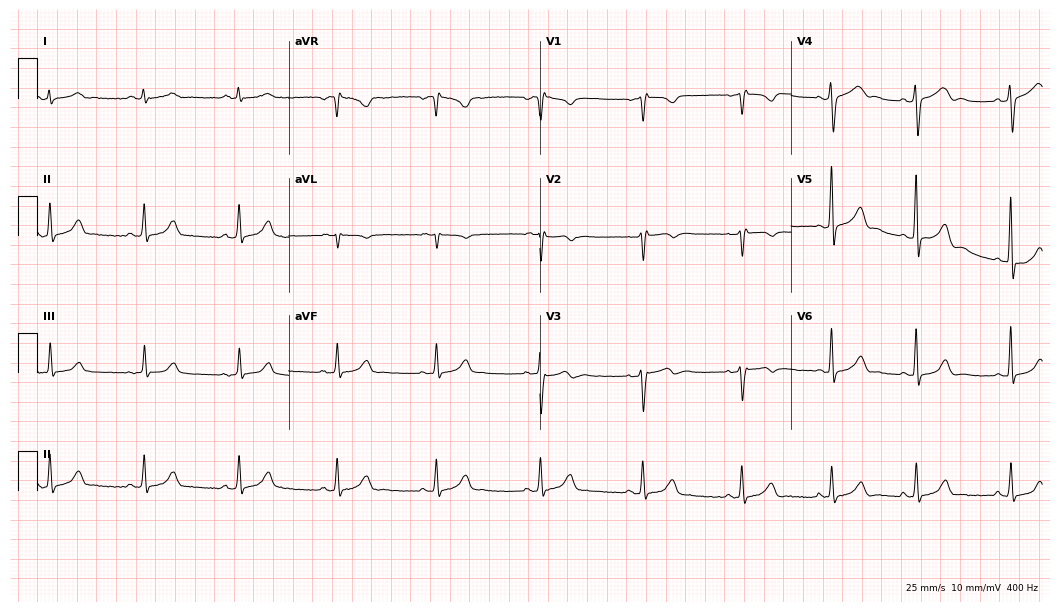
12-lead ECG from a female, 34 years old. Recorded interpretation: within normal limits.